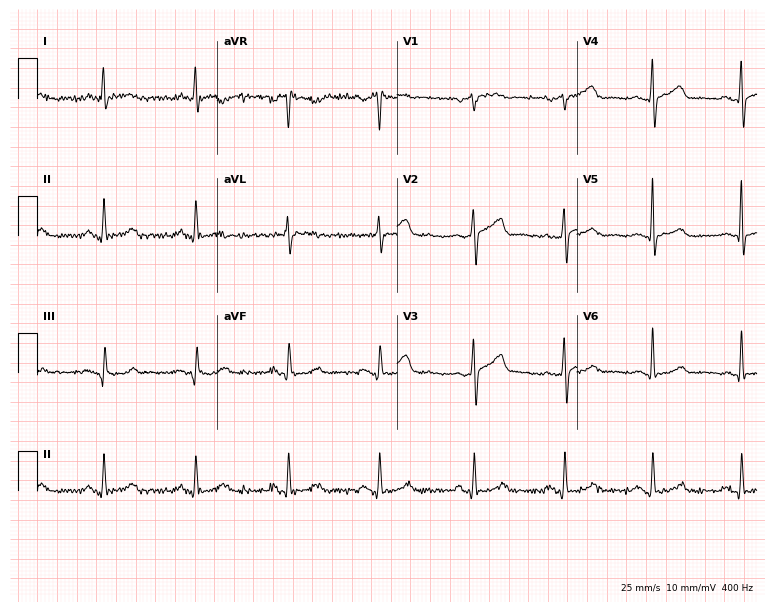
12-lead ECG from a 61-year-old male. Labelled as a normal ECG.